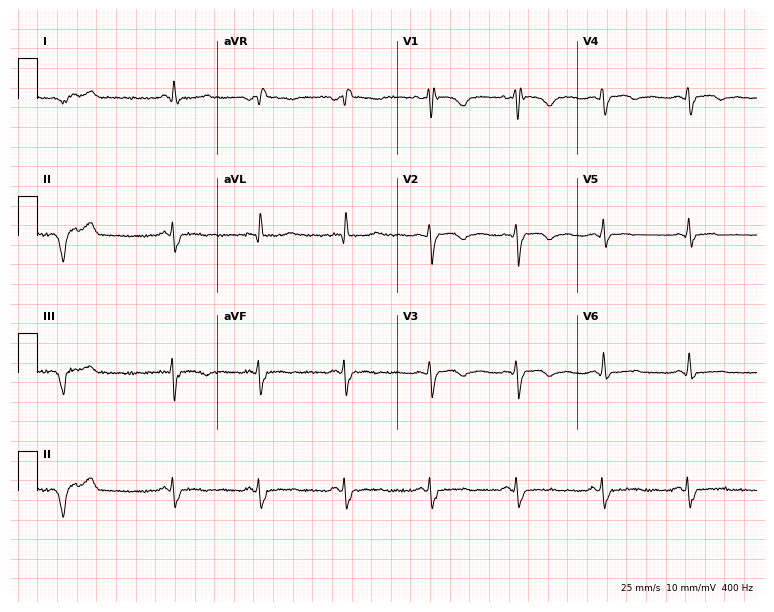
12-lead ECG from a 36-year-old male patient. Findings include right bundle branch block.